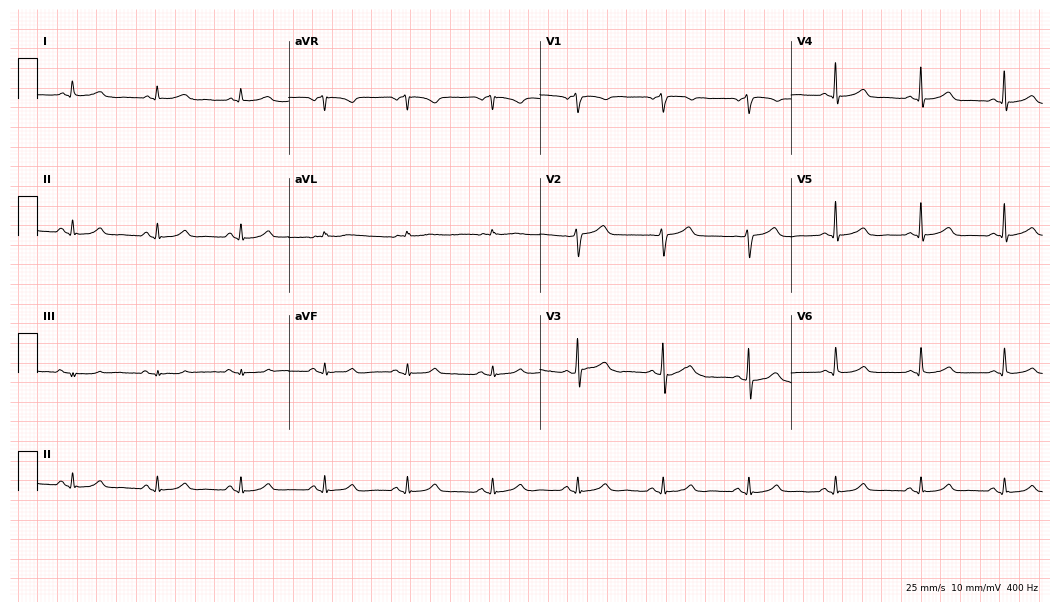
Resting 12-lead electrocardiogram (10.2-second recording at 400 Hz). Patient: a 67-year-old male. Read as a normal ECG.